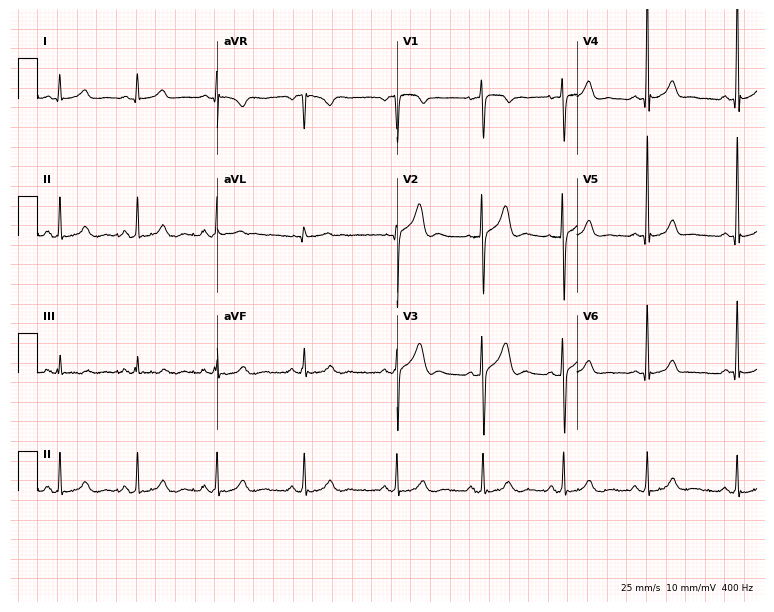
Electrocardiogram (7.3-second recording at 400 Hz), a male, 22 years old. Of the six screened findings (first-degree AV block, right bundle branch block, left bundle branch block, sinus bradycardia, atrial fibrillation, sinus tachycardia), none is recorded.